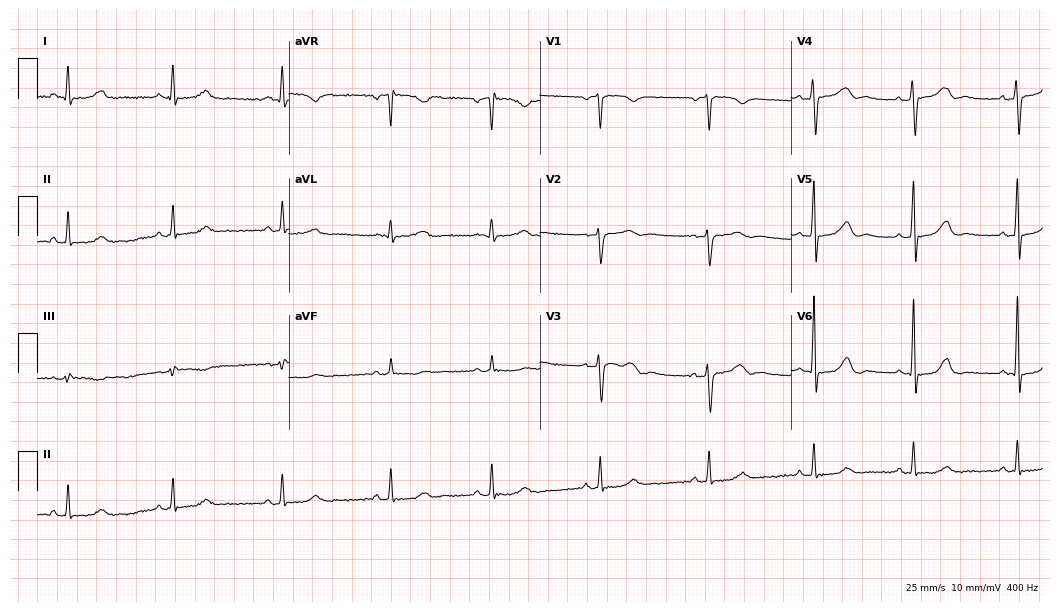
ECG (10.2-second recording at 400 Hz) — a woman, 63 years old. Labelled as a normal ECG.